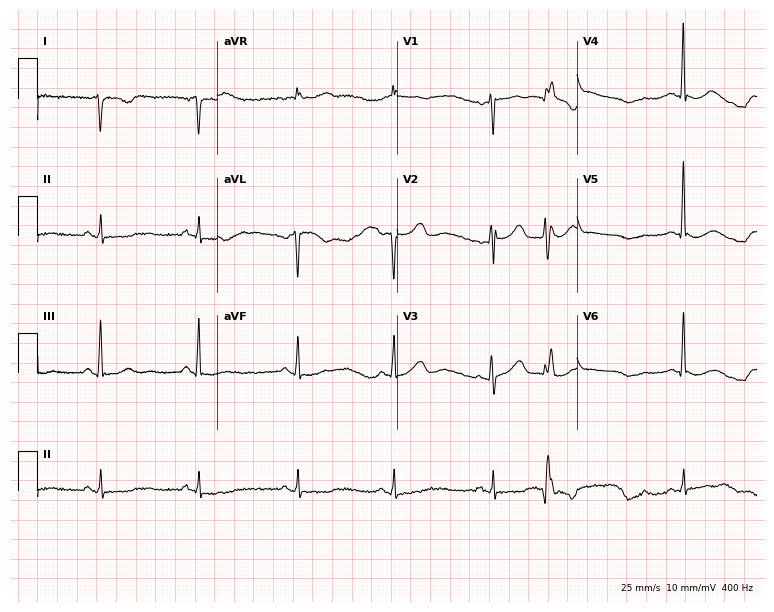
12-lead ECG from a woman, 59 years old. No first-degree AV block, right bundle branch block, left bundle branch block, sinus bradycardia, atrial fibrillation or sinus tachycardia recorded for this tracing. Other findings, if any, are not listed.